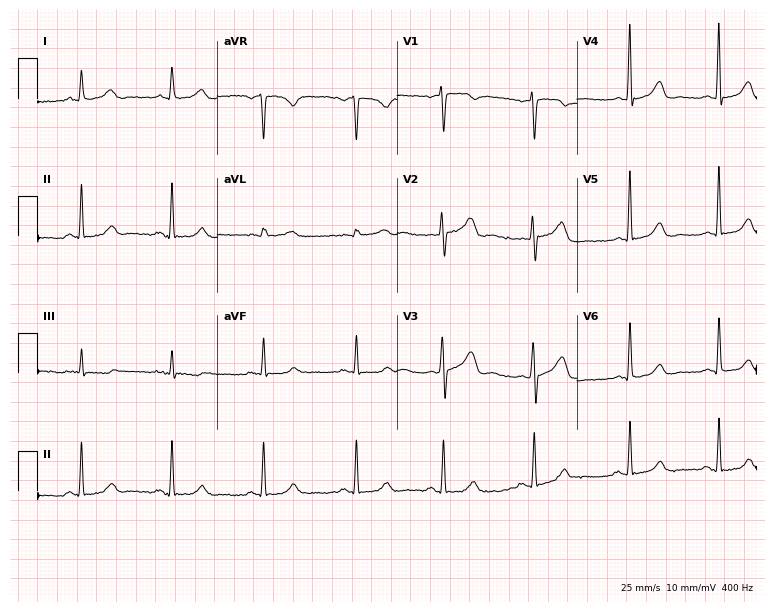
Resting 12-lead electrocardiogram (7.3-second recording at 400 Hz). Patient: a 39-year-old female. None of these six findings is recorded: first-degree AV block, right bundle branch block, left bundle branch block, sinus bradycardia, atrial fibrillation, sinus tachycardia.